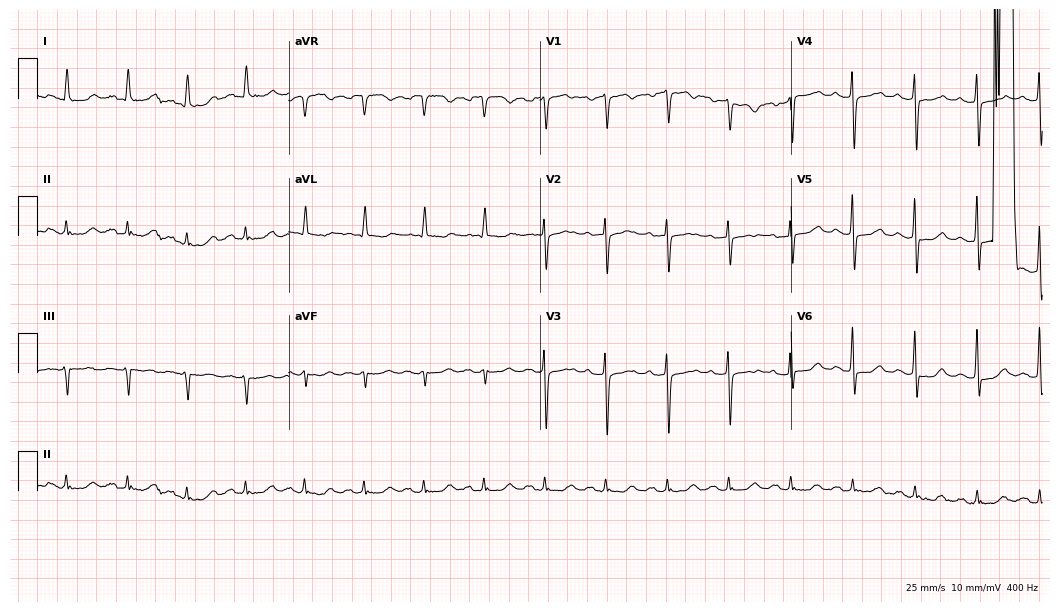
Resting 12-lead electrocardiogram (10.2-second recording at 400 Hz). Patient: a woman, 74 years old. None of these six findings is recorded: first-degree AV block, right bundle branch block, left bundle branch block, sinus bradycardia, atrial fibrillation, sinus tachycardia. Other findings, if any, are not listed.